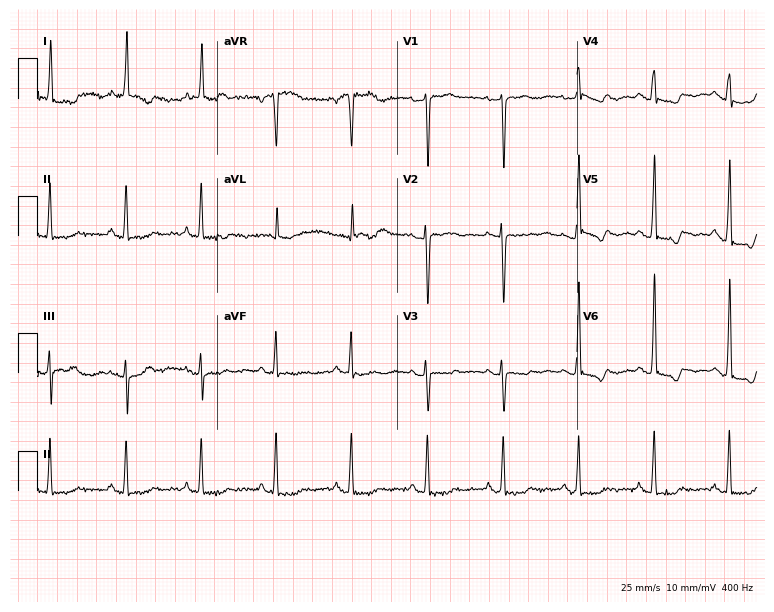
Resting 12-lead electrocardiogram (7.3-second recording at 400 Hz). Patient: a 66-year-old female. None of these six findings is recorded: first-degree AV block, right bundle branch block, left bundle branch block, sinus bradycardia, atrial fibrillation, sinus tachycardia. Other findings, if any, are not listed.